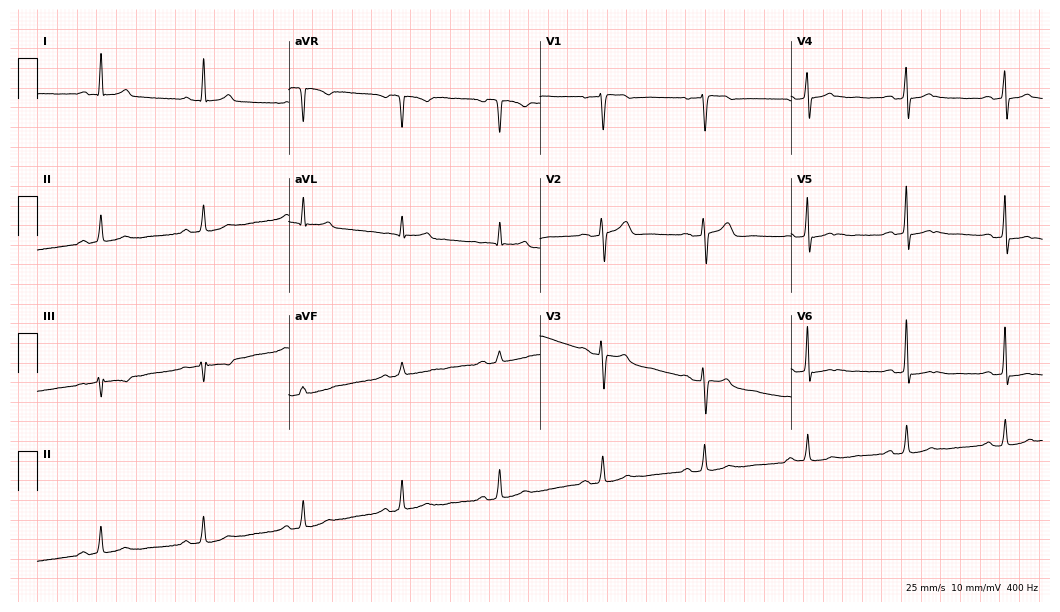
12-lead ECG from a male patient, 54 years old. No first-degree AV block, right bundle branch block, left bundle branch block, sinus bradycardia, atrial fibrillation or sinus tachycardia recorded for this tracing.